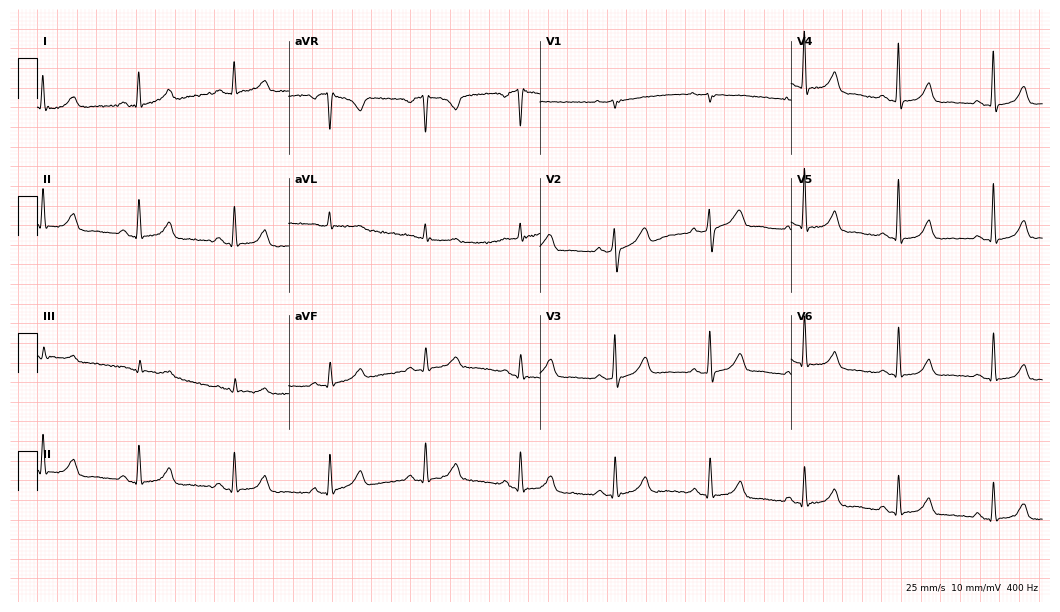
Resting 12-lead electrocardiogram (10.2-second recording at 400 Hz). Patient: a female, 58 years old. None of these six findings is recorded: first-degree AV block, right bundle branch block (RBBB), left bundle branch block (LBBB), sinus bradycardia, atrial fibrillation (AF), sinus tachycardia. Other findings, if any, are not listed.